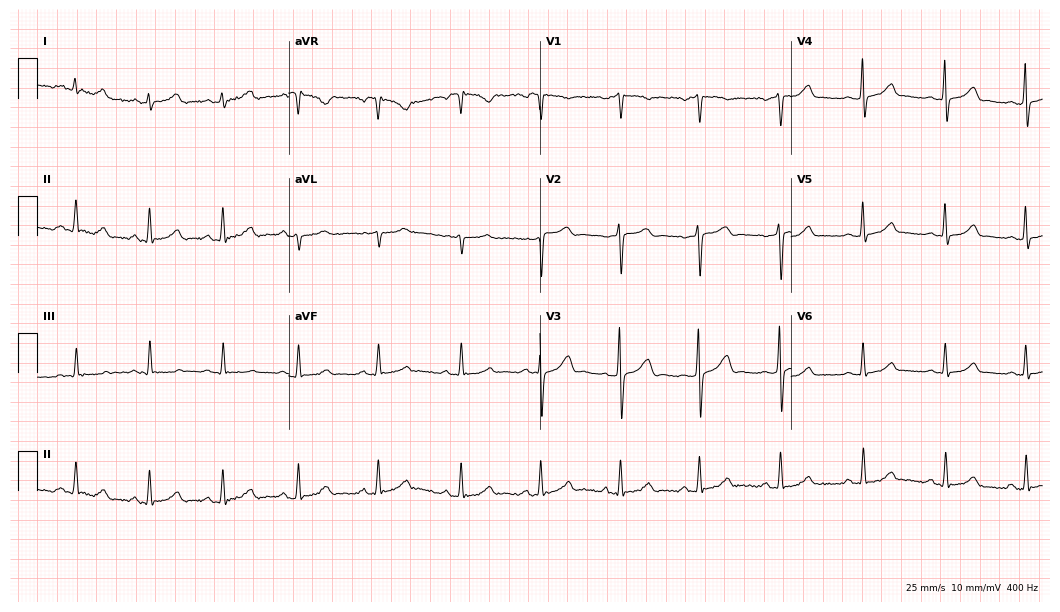
12-lead ECG (10.2-second recording at 400 Hz) from a female, 32 years old. Labelled as a normal ECG.